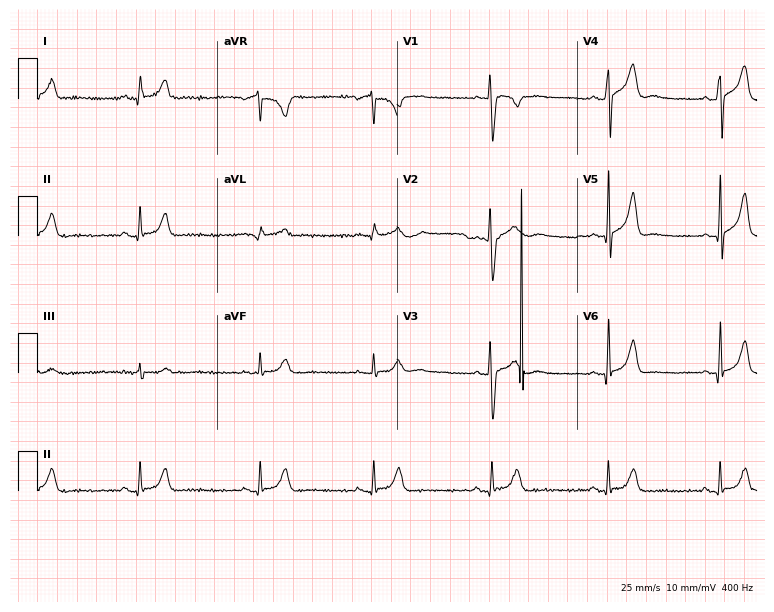
12-lead ECG from a male patient, 22 years old (7.3-second recording at 400 Hz). No first-degree AV block, right bundle branch block, left bundle branch block, sinus bradycardia, atrial fibrillation or sinus tachycardia recorded for this tracing.